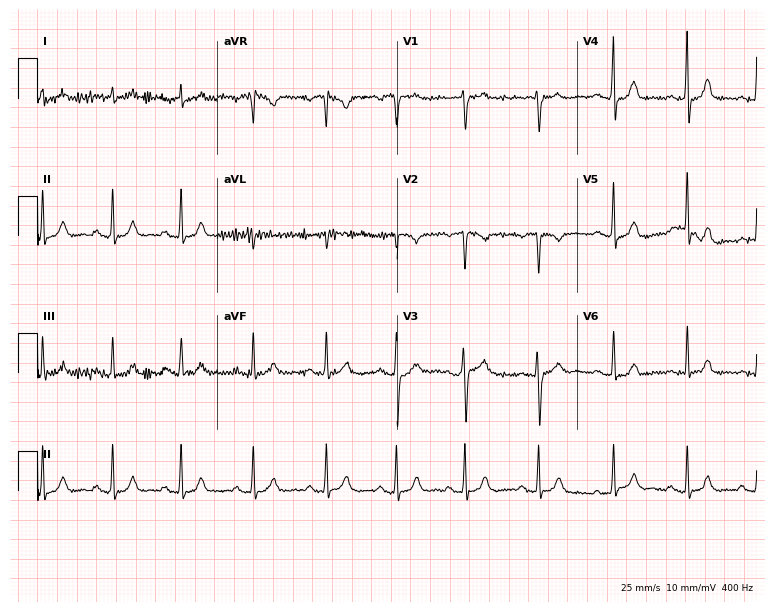
12-lead ECG from a female, 23 years old. Recorded interpretation: within normal limits.